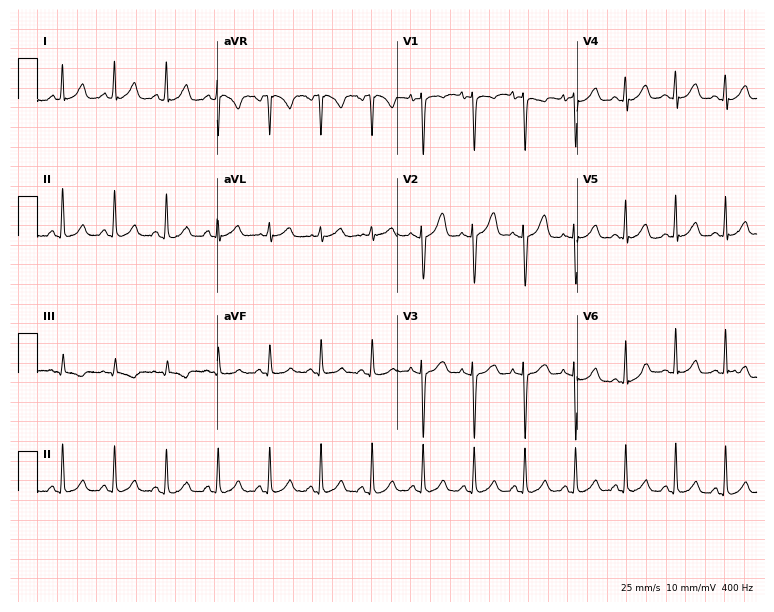
Electrocardiogram (7.3-second recording at 400 Hz), a woman, 22 years old. Interpretation includes sinus tachycardia (a sinus rate of 100 beats per minute or more).